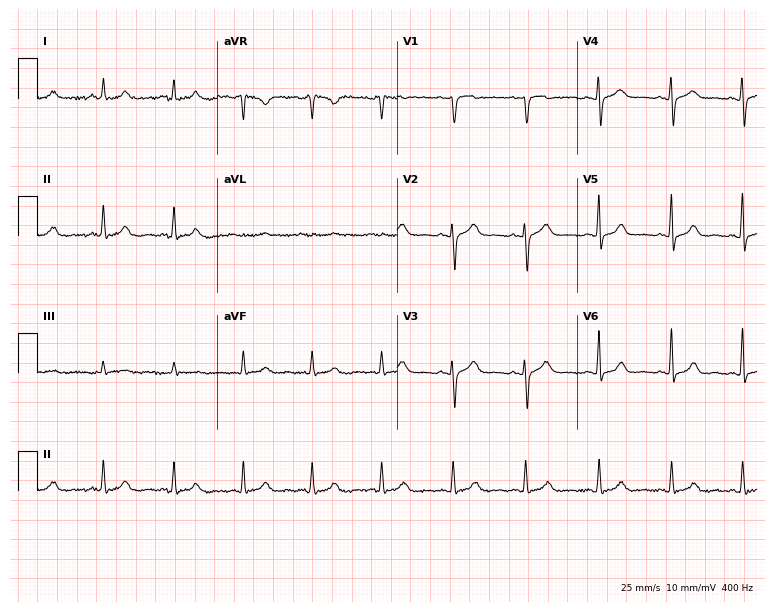
ECG (7.3-second recording at 400 Hz) — a female, 45 years old. Labelled as a normal ECG.